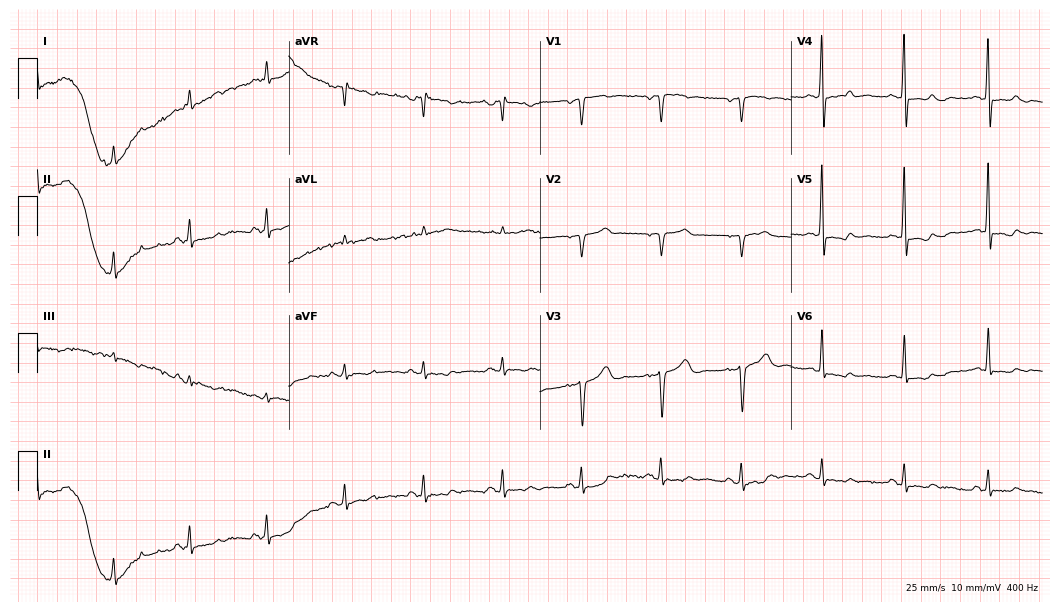
Electrocardiogram, a male, 47 years old. Of the six screened findings (first-degree AV block, right bundle branch block, left bundle branch block, sinus bradycardia, atrial fibrillation, sinus tachycardia), none is recorded.